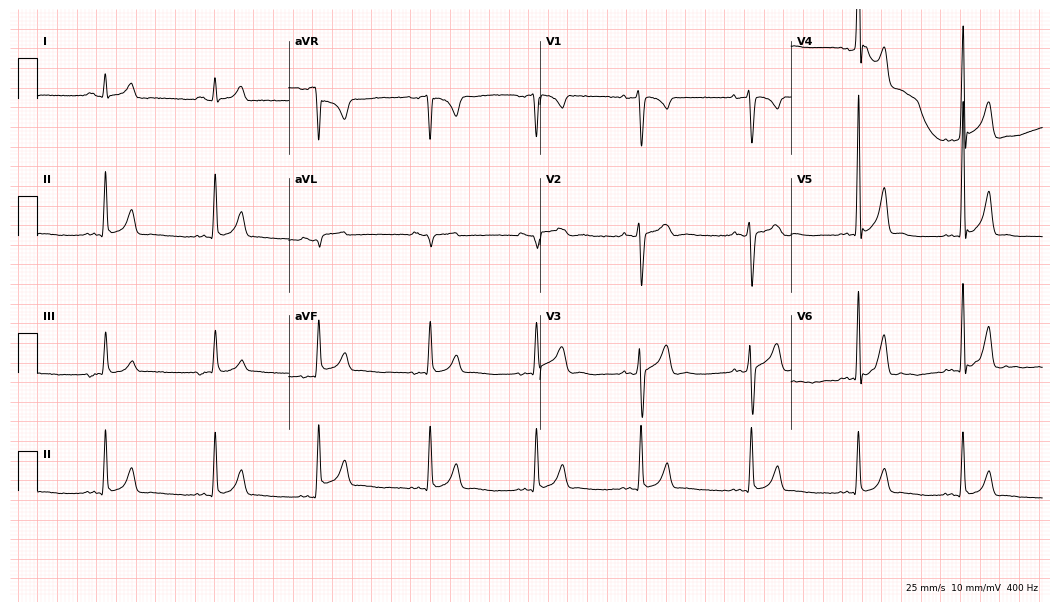
Resting 12-lead electrocardiogram (10.2-second recording at 400 Hz). Patient: a man, 33 years old. Read as a normal ECG.